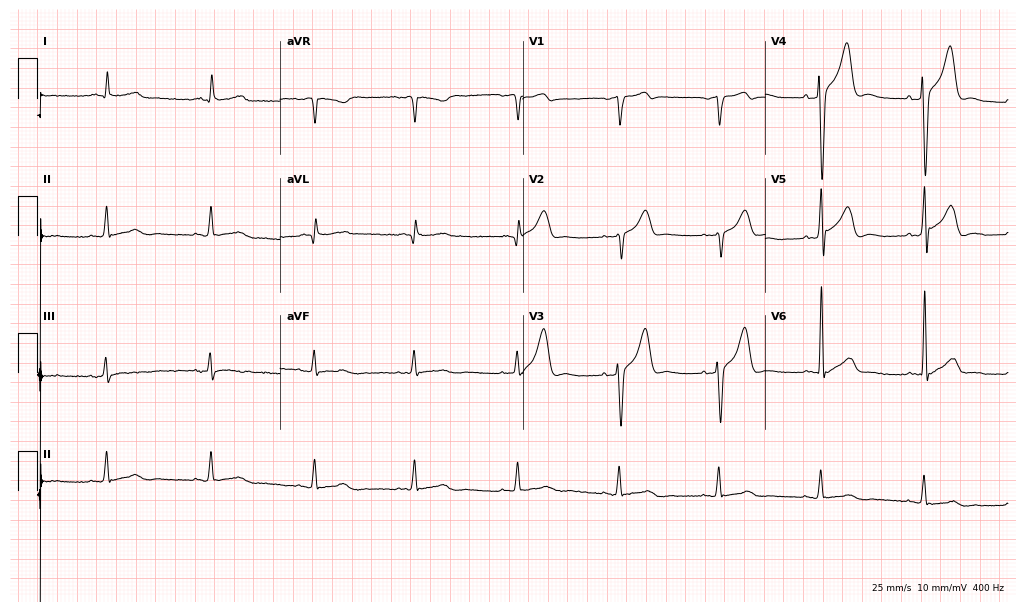
ECG (9.9-second recording at 400 Hz) — a male patient, 77 years old. Screened for six findings — first-degree AV block, right bundle branch block, left bundle branch block, sinus bradycardia, atrial fibrillation, sinus tachycardia — none is recorded. Other findings, if any, are not listed.